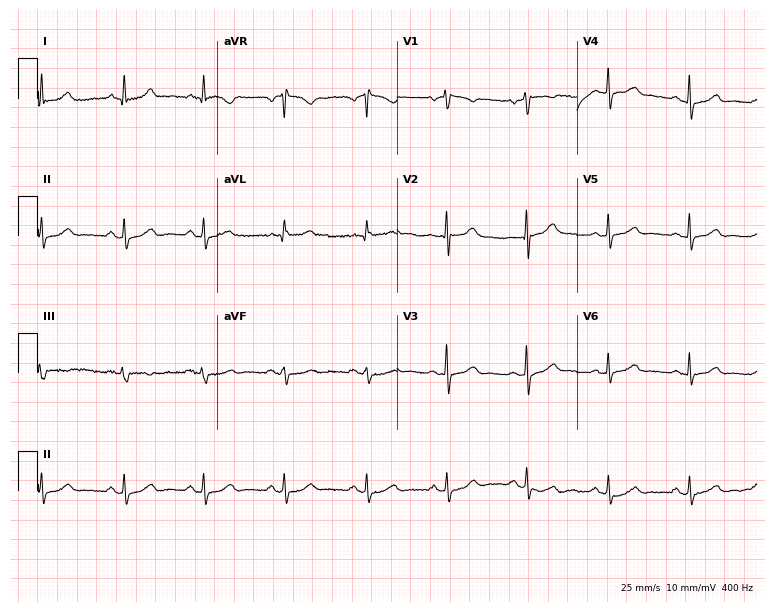
Standard 12-lead ECG recorded from a 58-year-old woman. Read as a normal ECG.